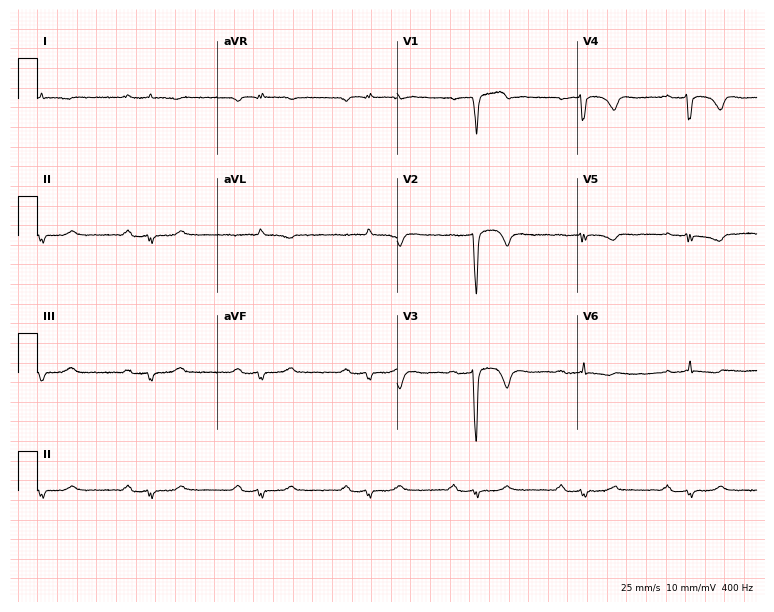
Resting 12-lead electrocardiogram (7.3-second recording at 400 Hz). Patient: a 79-year-old male. The tracing shows first-degree AV block.